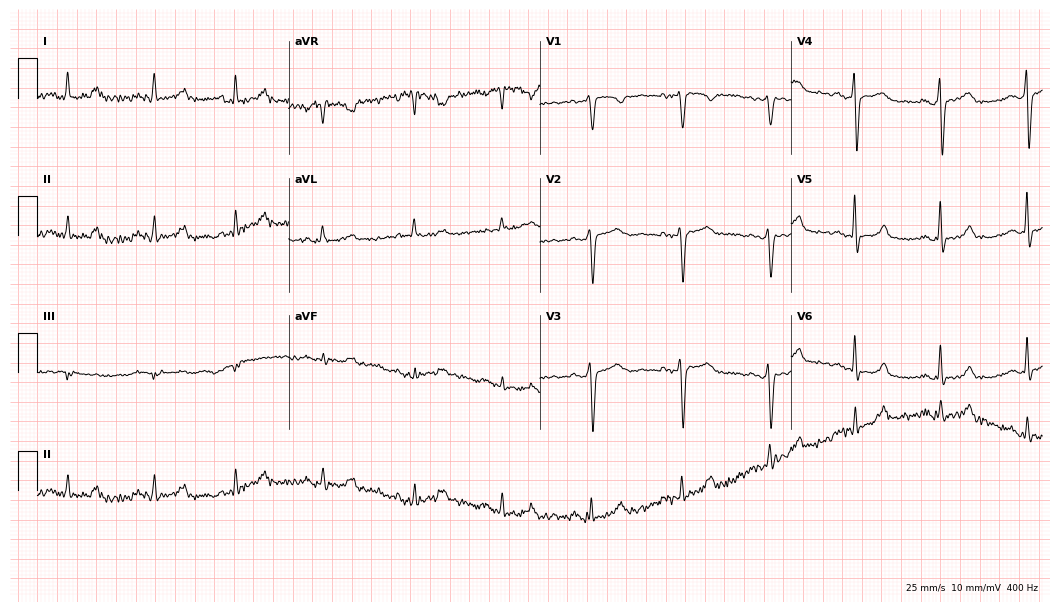
Standard 12-lead ECG recorded from a 61-year-old female (10.2-second recording at 400 Hz). Read as a normal ECG.